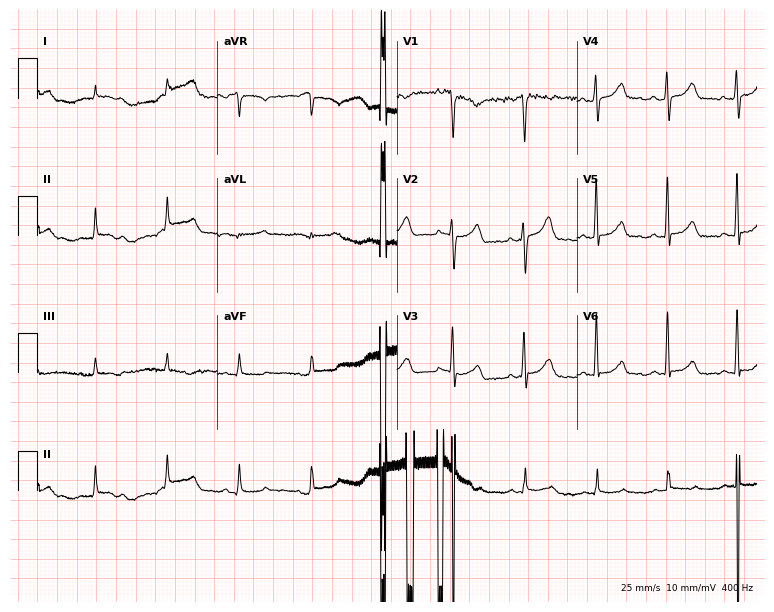
Resting 12-lead electrocardiogram (7.3-second recording at 400 Hz). Patient: a female, 37 years old. Read as a normal ECG.